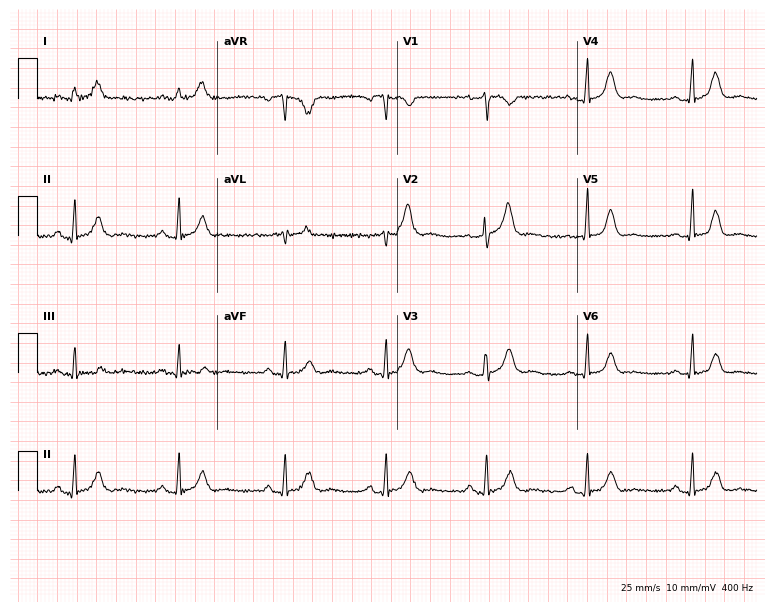
12-lead ECG (7.3-second recording at 400 Hz) from a 35-year-old female. Labelled as a normal ECG.